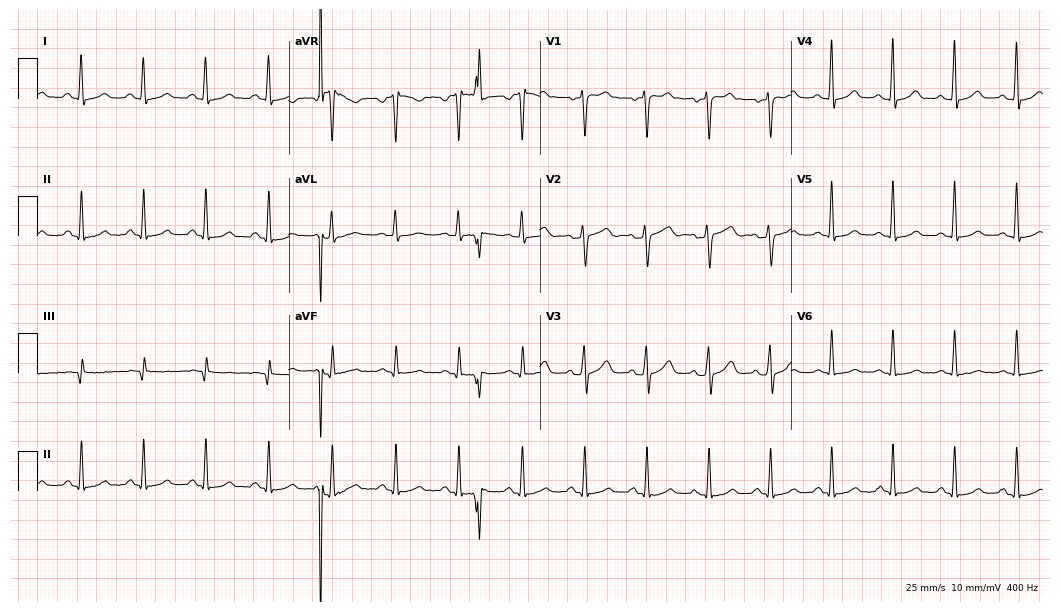
12-lead ECG from a 29-year-old female (10.2-second recording at 400 Hz). Recorded interpretation: within normal limits.